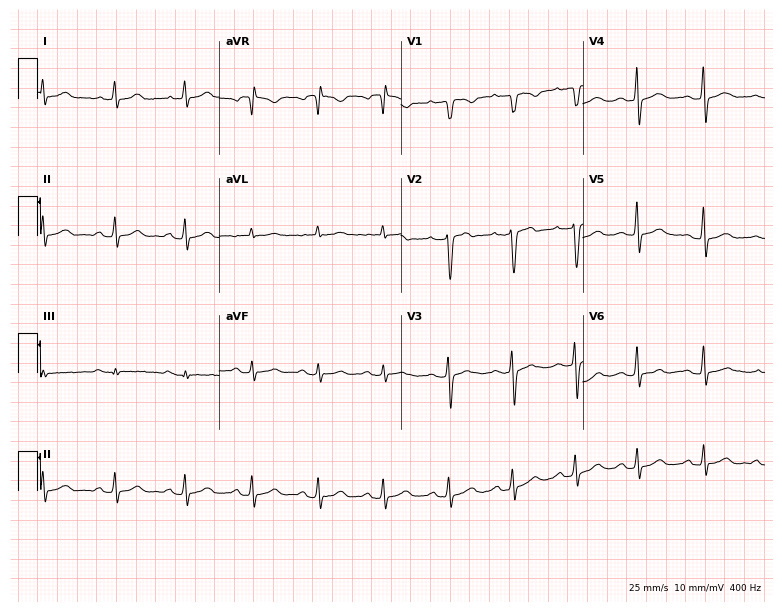
Electrocardiogram (7.4-second recording at 400 Hz), a 39-year-old woman. Of the six screened findings (first-degree AV block, right bundle branch block (RBBB), left bundle branch block (LBBB), sinus bradycardia, atrial fibrillation (AF), sinus tachycardia), none is recorded. Findings outside these six are not listed.